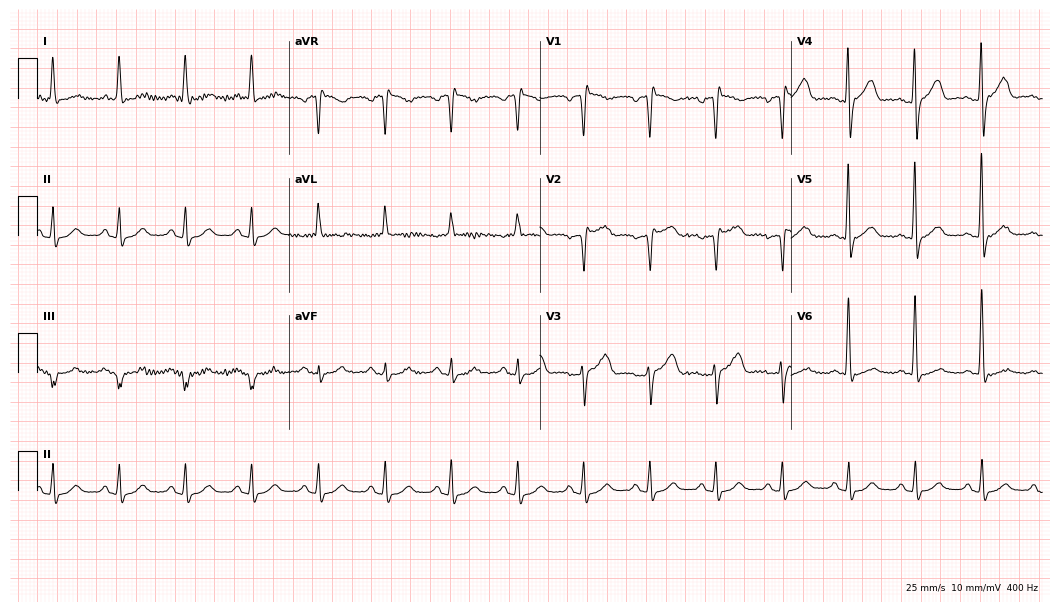
12-lead ECG from a 71-year-old male. Recorded interpretation: within normal limits.